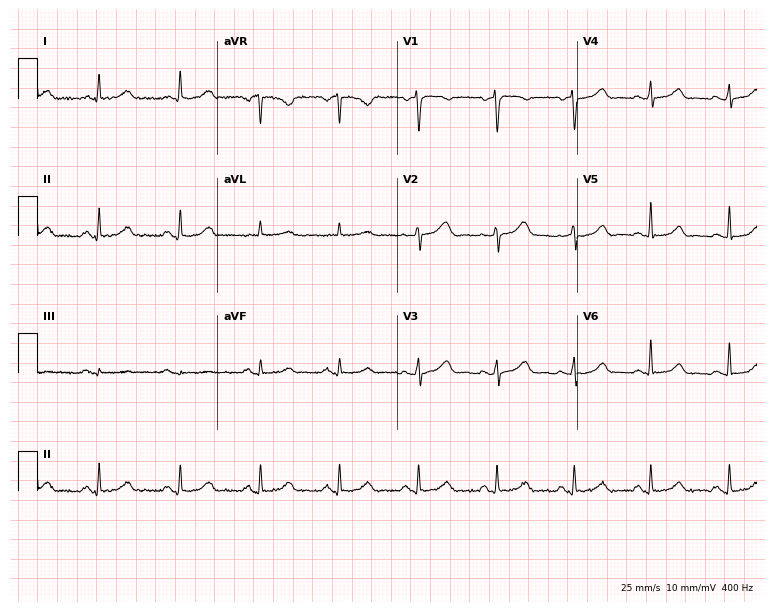
Electrocardiogram (7.3-second recording at 400 Hz), a 49-year-old woman. Overall reading on record: normal ECG.